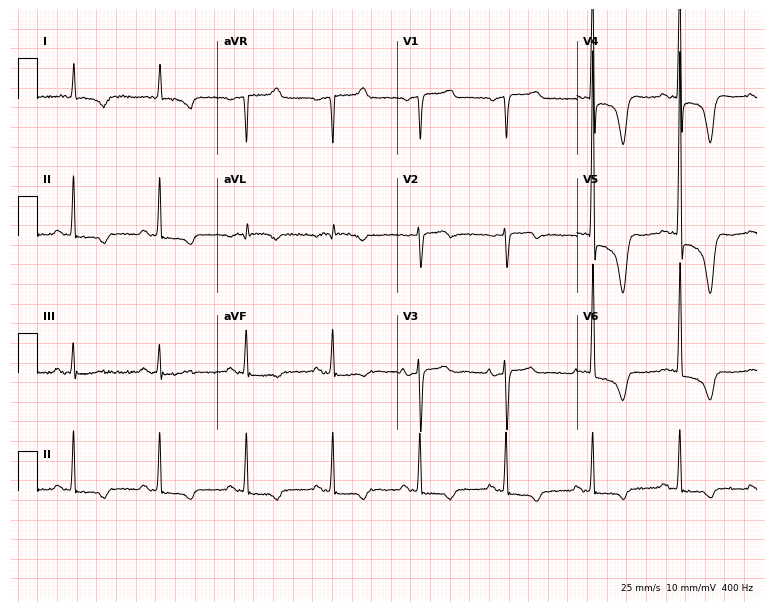
ECG — a woman, 70 years old. Screened for six findings — first-degree AV block, right bundle branch block (RBBB), left bundle branch block (LBBB), sinus bradycardia, atrial fibrillation (AF), sinus tachycardia — none is recorded. Other findings, if any, are not listed.